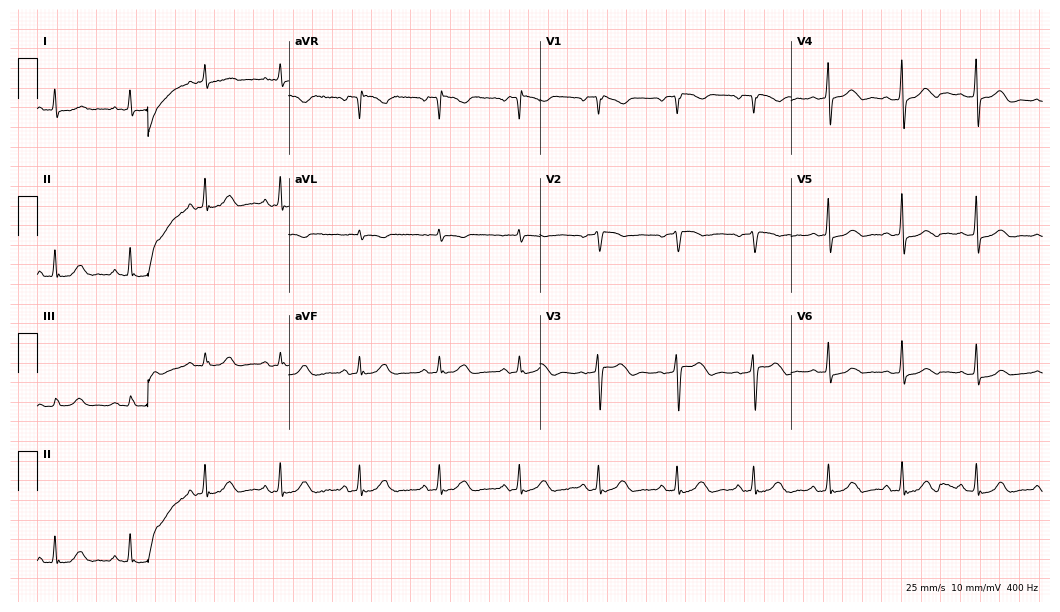
Standard 12-lead ECG recorded from a 65-year-old female patient. None of these six findings is recorded: first-degree AV block, right bundle branch block, left bundle branch block, sinus bradycardia, atrial fibrillation, sinus tachycardia. Findings outside these six are not listed.